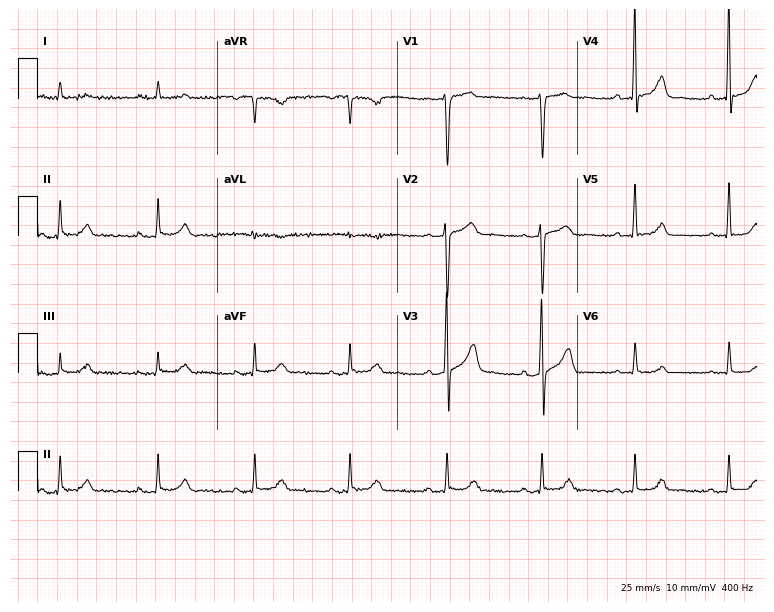
ECG — a male, 70 years old. Labelled as a normal ECG.